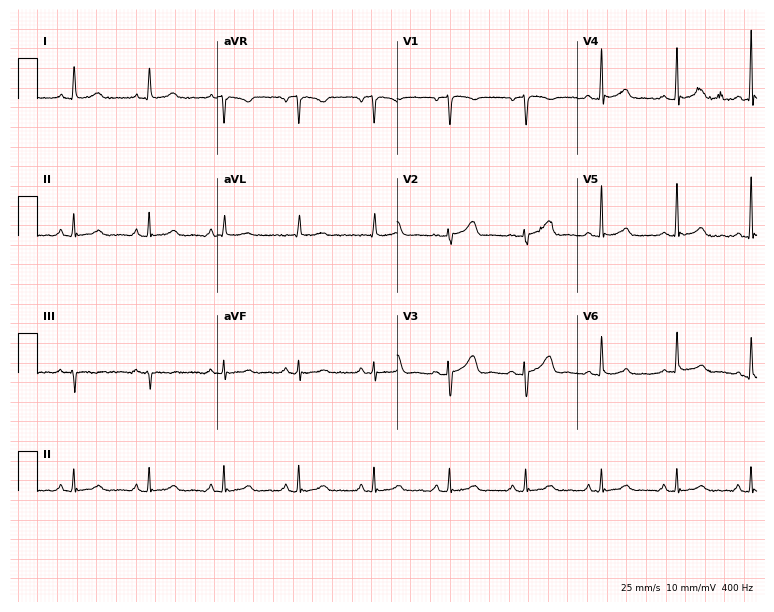
Resting 12-lead electrocardiogram. Patient: a woman, 49 years old. Read as a normal ECG.